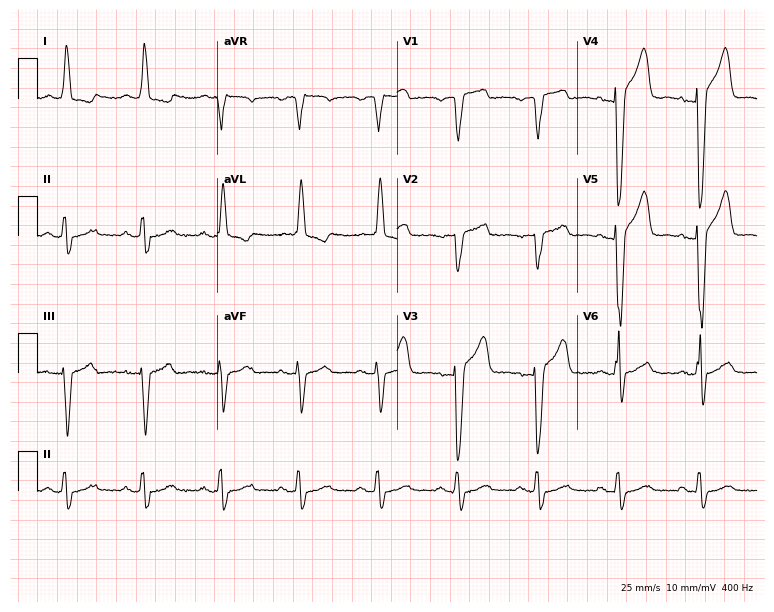
12-lead ECG from a male, 76 years old (7.3-second recording at 400 Hz). Shows left bundle branch block (LBBB).